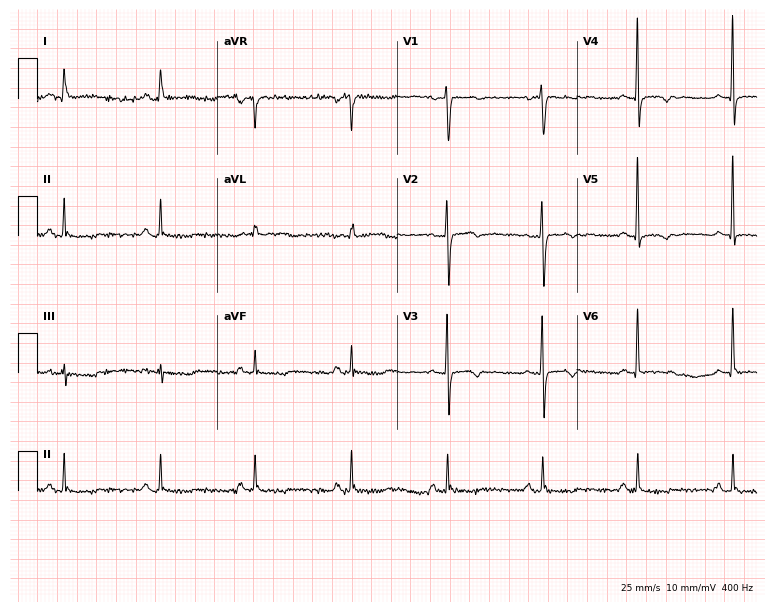
12-lead ECG from a woman, 66 years old. No first-degree AV block, right bundle branch block (RBBB), left bundle branch block (LBBB), sinus bradycardia, atrial fibrillation (AF) or sinus tachycardia recorded for this tracing.